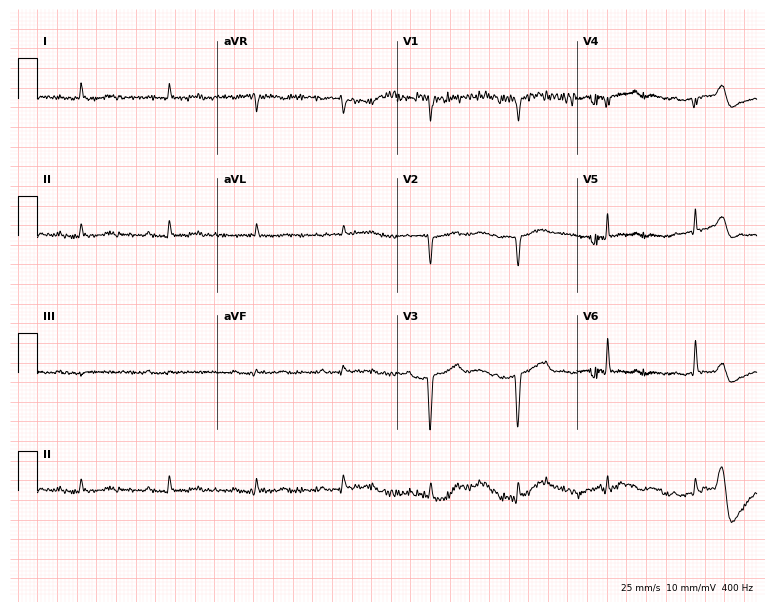
12-lead ECG from a female patient, 73 years old. Screened for six findings — first-degree AV block, right bundle branch block (RBBB), left bundle branch block (LBBB), sinus bradycardia, atrial fibrillation (AF), sinus tachycardia — none is recorded. Findings outside these six are not listed.